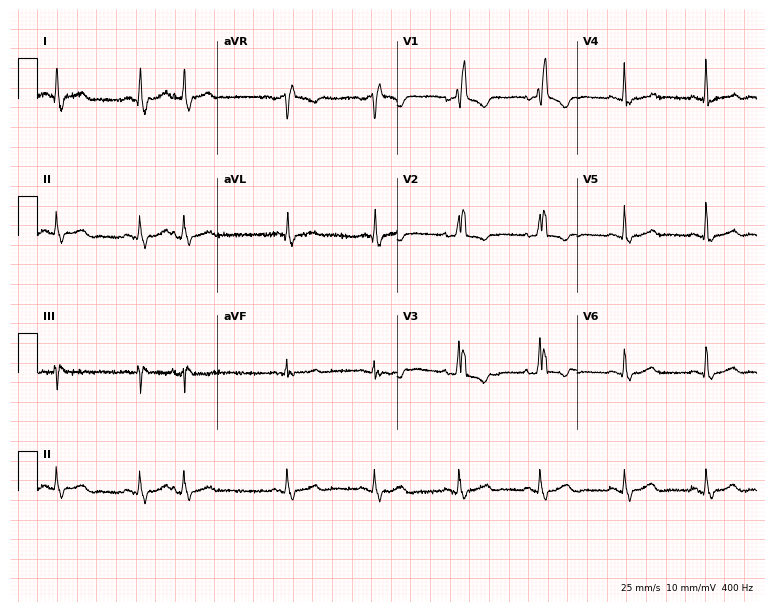
Standard 12-lead ECG recorded from a 71-year-old female patient. The tracing shows right bundle branch block (RBBB).